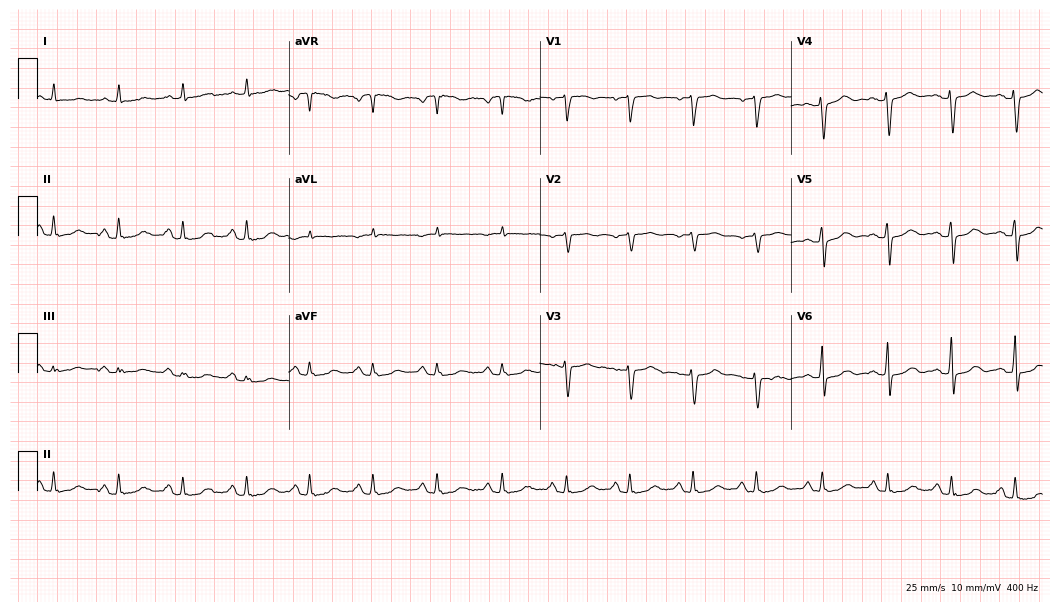
Standard 12-lead ECG recorded from an 83-year-old female. Read as a normal ECG.